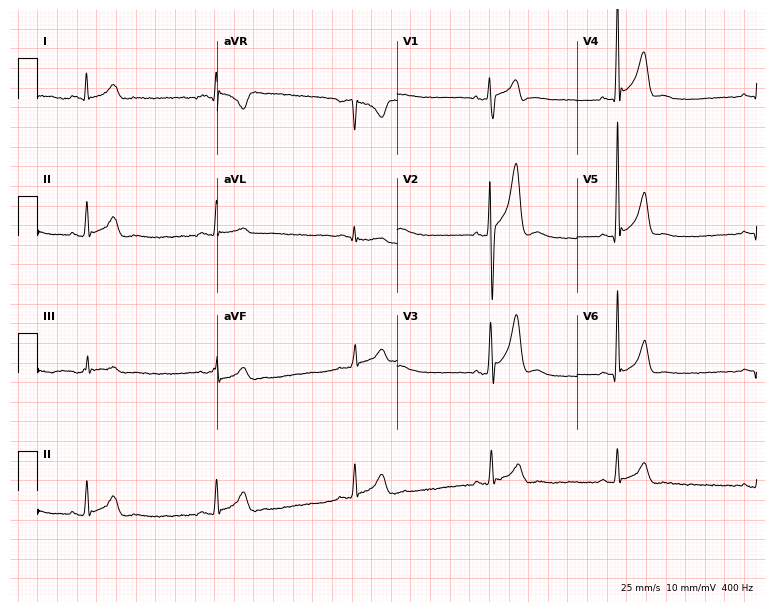
Electrocardiogram, a male patient, 21 years old. Interpretation includes sinus bradycardia (a sinus rate of 50 beats per minute or less).